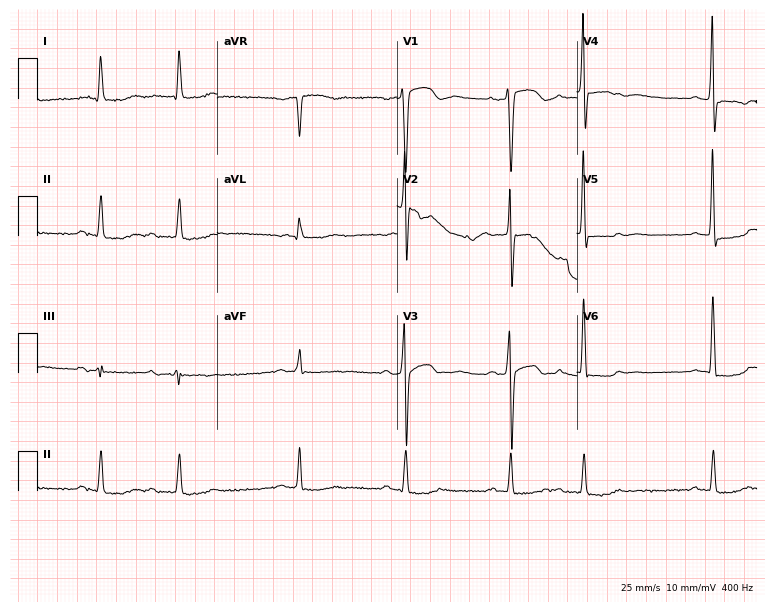
12-lead ECG (7.3-second recording at 400 Hz) from a 79-year-old male patient. Screened for six findings — first-degree AV block, right bundle branch block, left bundle branch block, sinus bradycardia, atrial fibrillation, sinus tachycardia — none is recorded.